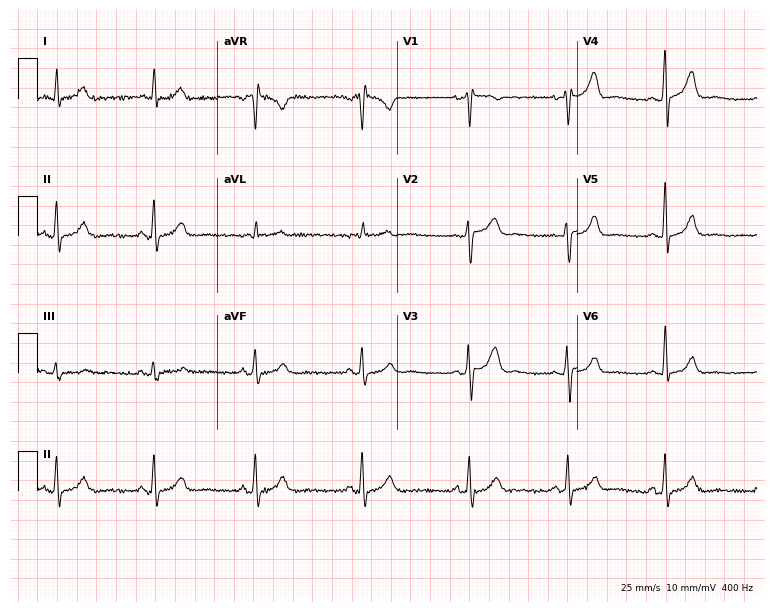
Electrocardiogram (7.3-second recording at 400 Hz), a 29-year-old woman. Of the six screened findings (first-degree AV block, right bundle branch block, left bundle branch block, sinus bradycardia, atrial fibrillation, sinus tachycardia), none is recorded.